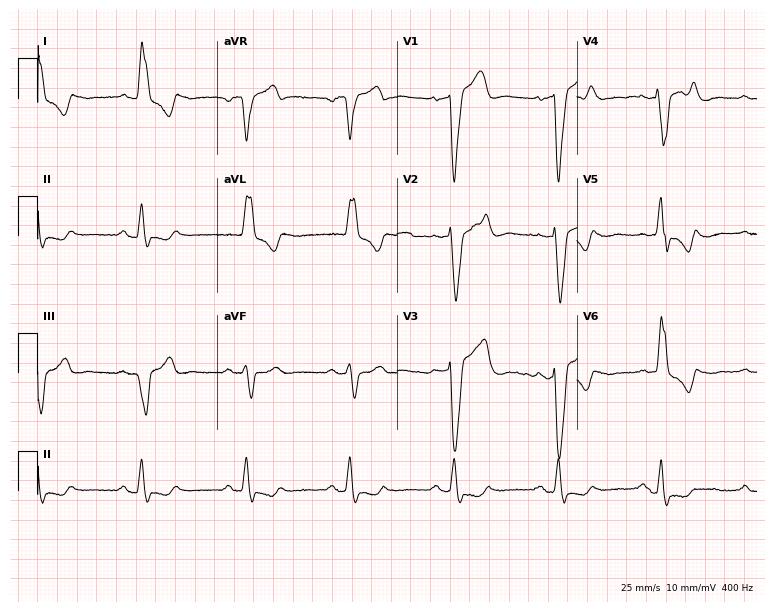
Electrocardiogram, a male patient, 81 years old. Interpretation includes left bundle branch block.